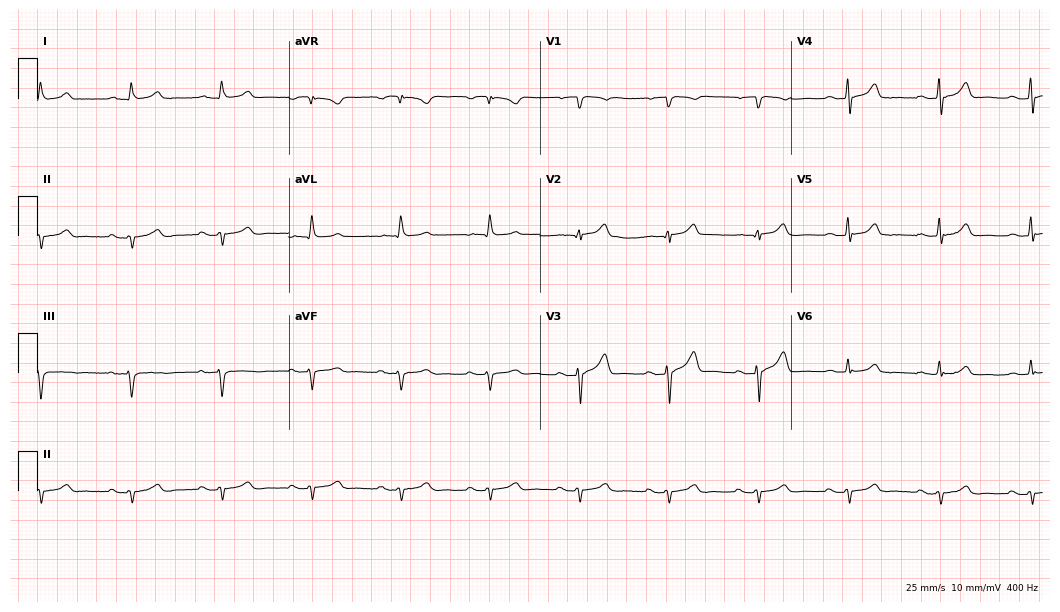
12-lead ECG from a man, 72 years old (10.2-second recording at 400 Hz). No first-degree AV block, right bundle branch block, left bundle branch block, sinus bradycardia, atrial fibrillation or sinus tachycardia recorded for this tracing.